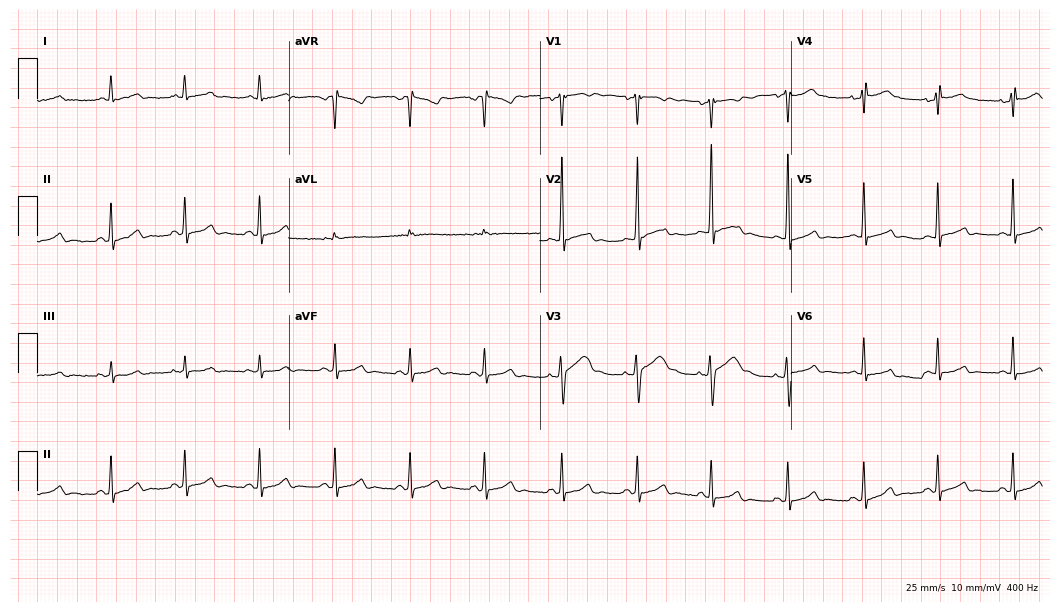
Electrocardiogram, a 39-year-old male patient. Of the six screened findings (first-degree AV block, right bundle branch block, left bundle branch block, sinus bradycardia, atrial fibrillation, sinus tachycardia), none is recorded. Other findings, if any, are not listed.